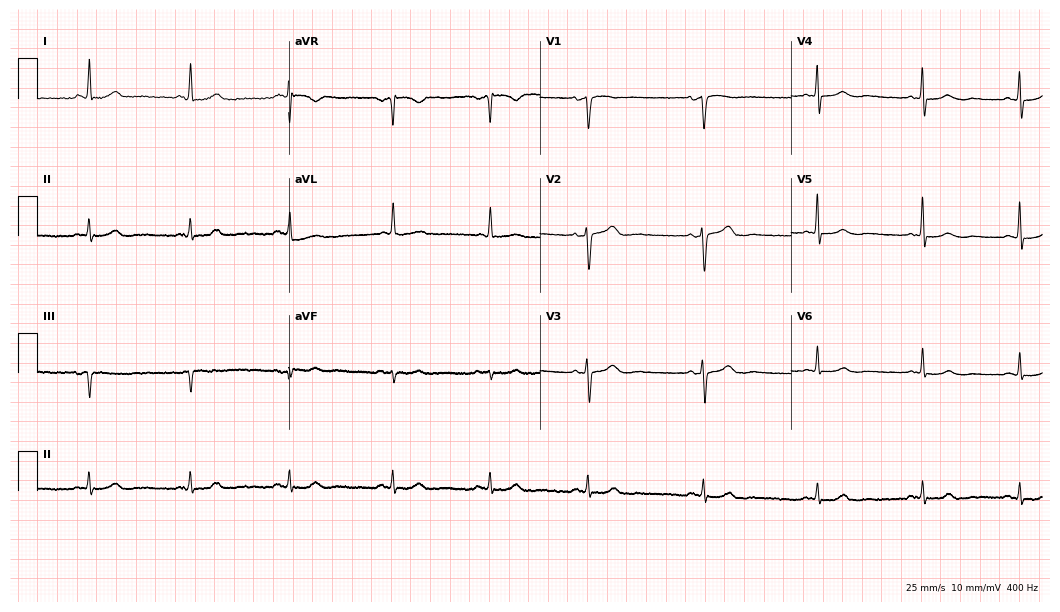
ECG (10.2-second recording at 400 Hz) — an 82-year-old female patient. Labelled as a normal ECG.